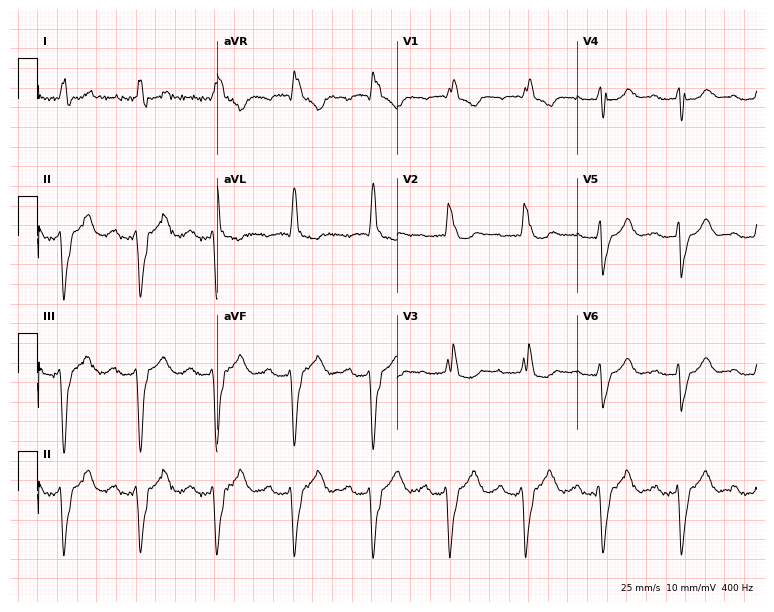
ECG (7.3-second recording at 400 Hz) — a woman, 80 years old. Findings include first-degree AV block, right bundle branch block.